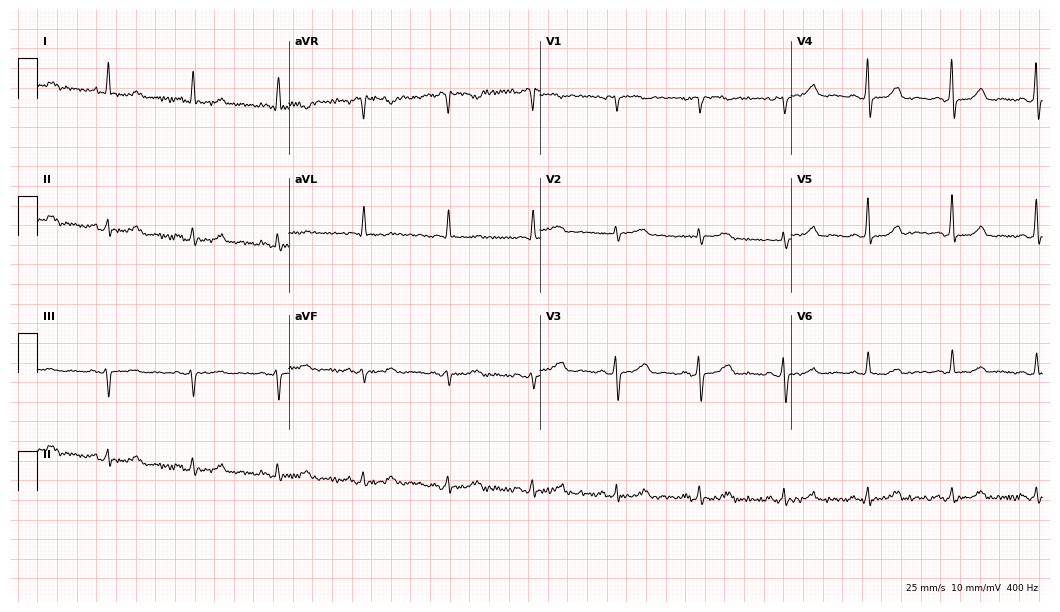
ECG — a female patient, 59 years old. Screened for six findings — first-degree AV block, right bundle branch block, left bundle branch block, sinus bradycardia, atrial fibrillation, sinus tachycardia — none is recorded. Findings outside these six are not listed.